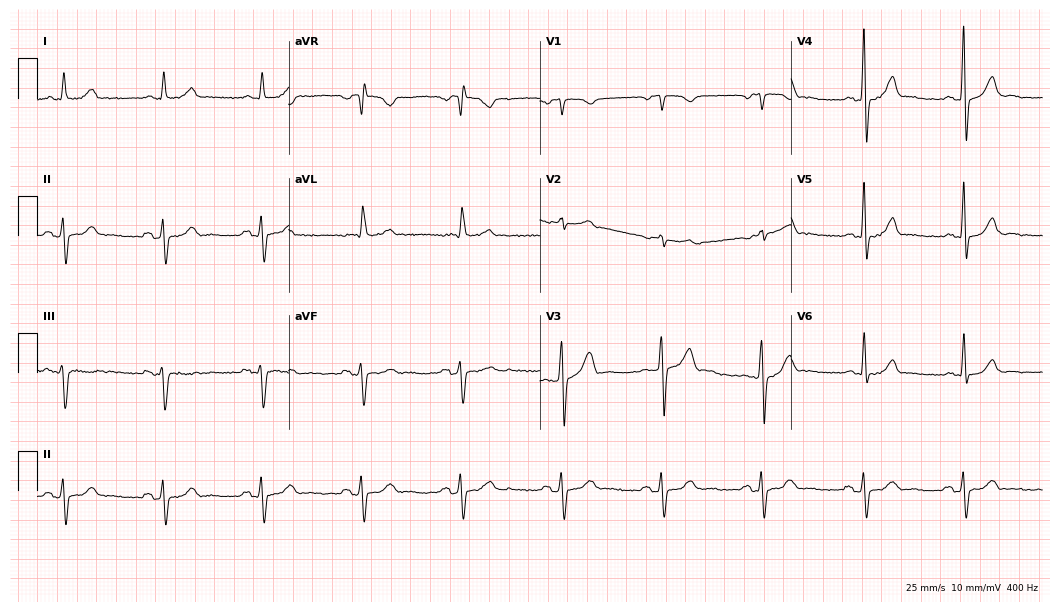
Resting 12-lead electrocardiogram. Patient: a male, 59 years old. None of these six findings is recorded: first-degree AV block, right bundle branch block, left bundle branch block, sinus bradycardia, atrial fibrillation, sinus tachycardia.